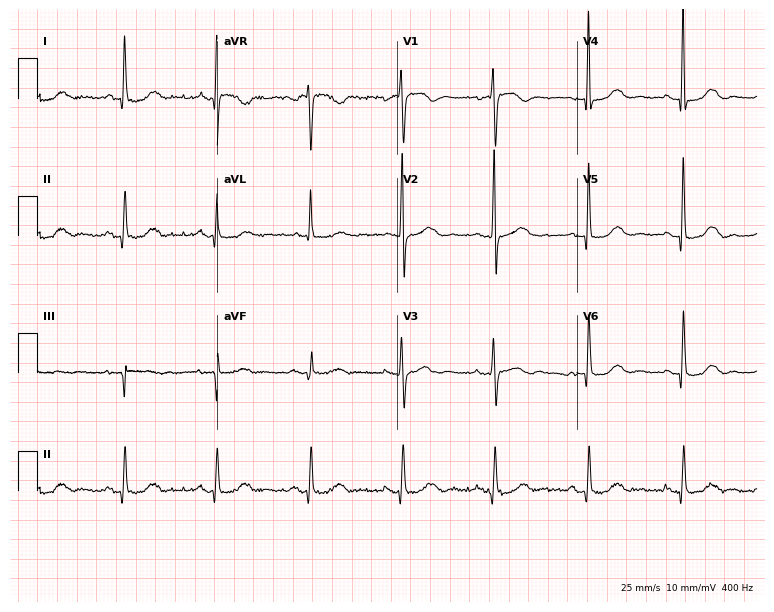
12-lead ECG from an 85-year-old female patient. Labelled as a normal ECG.